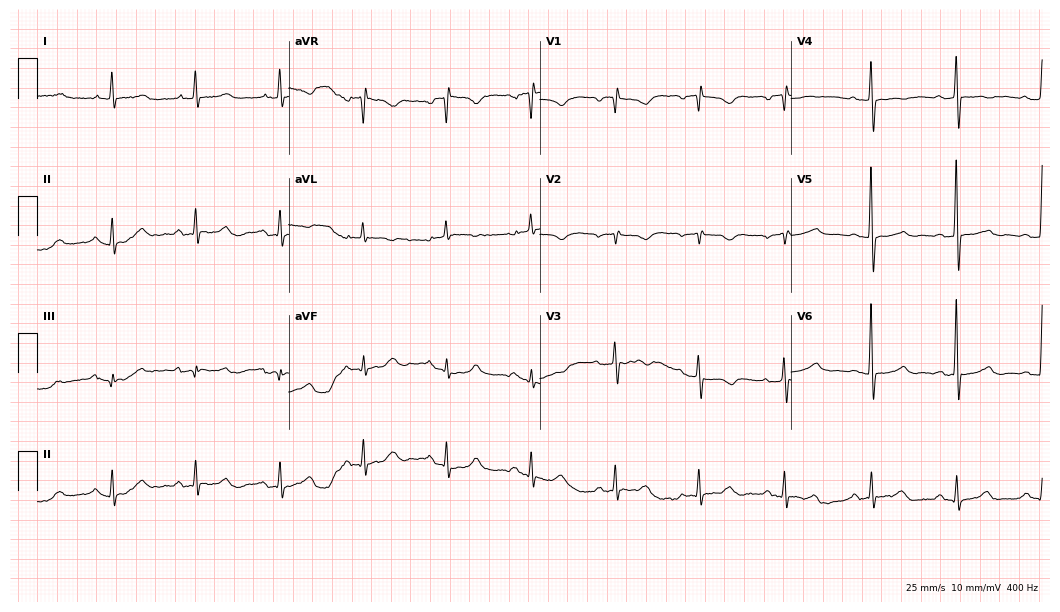
12-lead ECG from a female, 84 years old (10.2-second recording at 400 Hz). No first-degree AV block, right bundle branch block, left bundle branch block, sinus bradycardia, atrial fibrillation or sinus tachycardia recorded for this tracing.